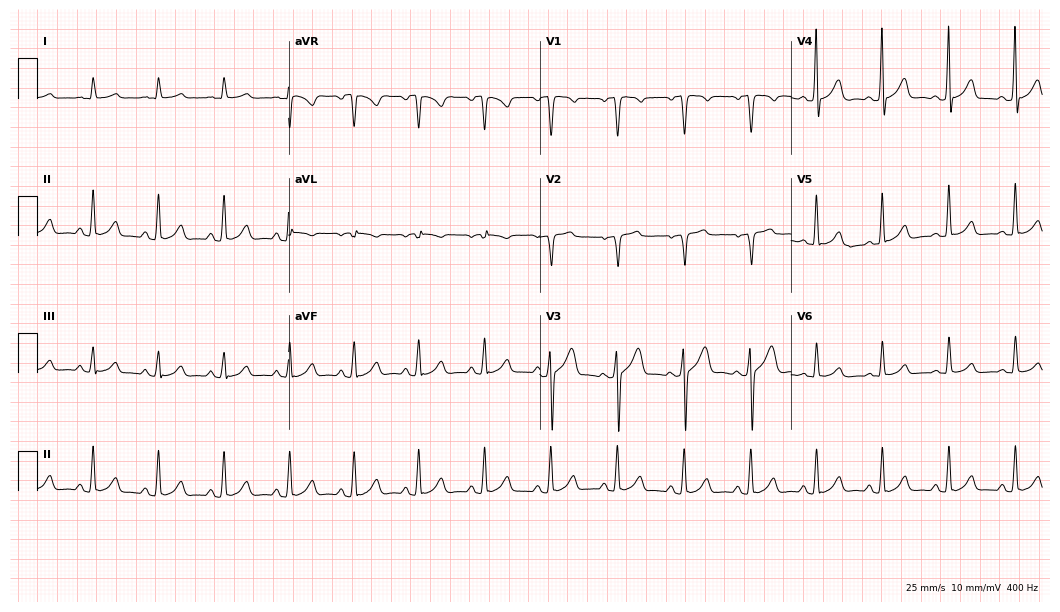
12-lead ECG from a man, 40 years old. Labelled as a normal ECG.